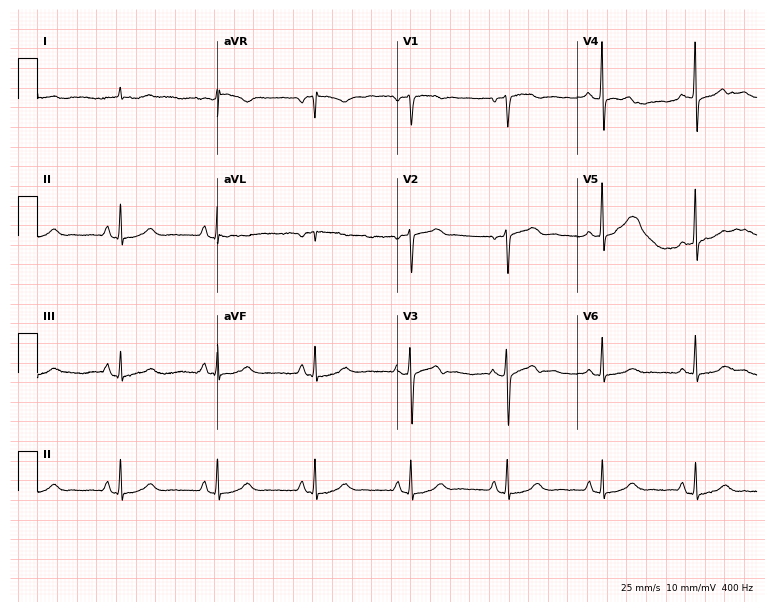
Resting 12-lead electrocardiogram. Patient: a woman, 71 years old. Read as a normal ECG.